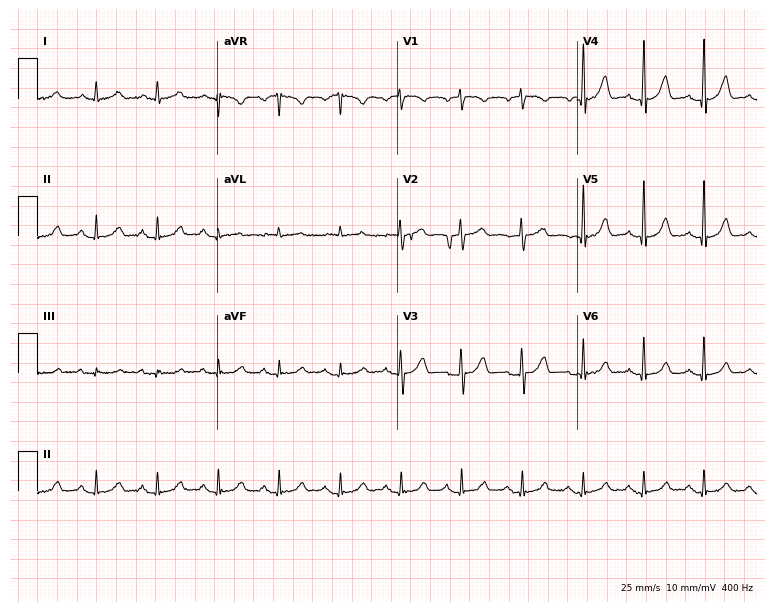
Resting 12-lead electrocardiogram. Patient: a female, 68 years old. Read as a normal ECG.